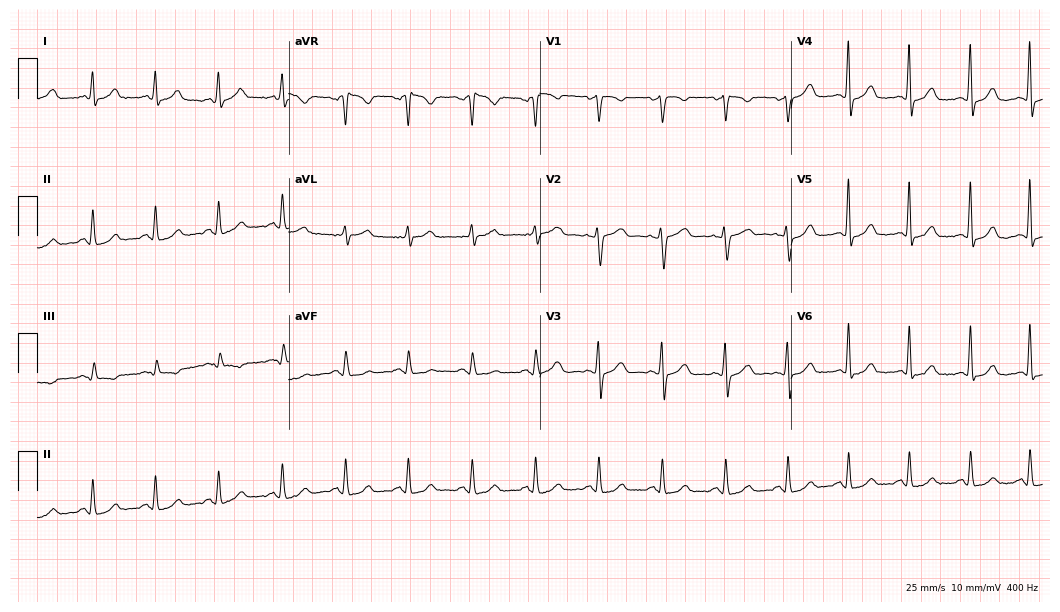
12-lead ECG from a female, 48 years old (10.2-second recording at 400 Hz). No first-degree AV block, right bundle branch block (RBBB), left bundle branch block (LBBB), sinus bradycardia, atrial fibrillation (AF) or sinus tachycardia recorded for this tracing.